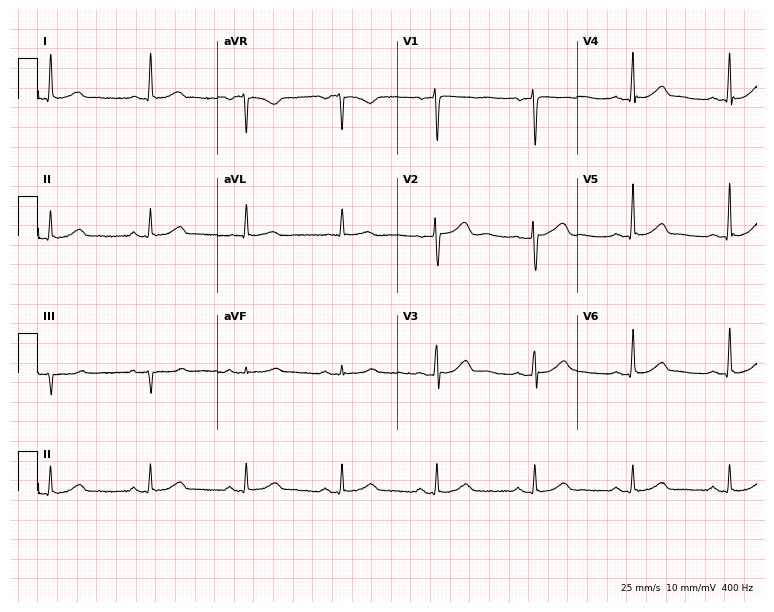
ECG (7.3-second recording at 400 Hz) — a 53-year-old female. Labelled as a normal ECG.